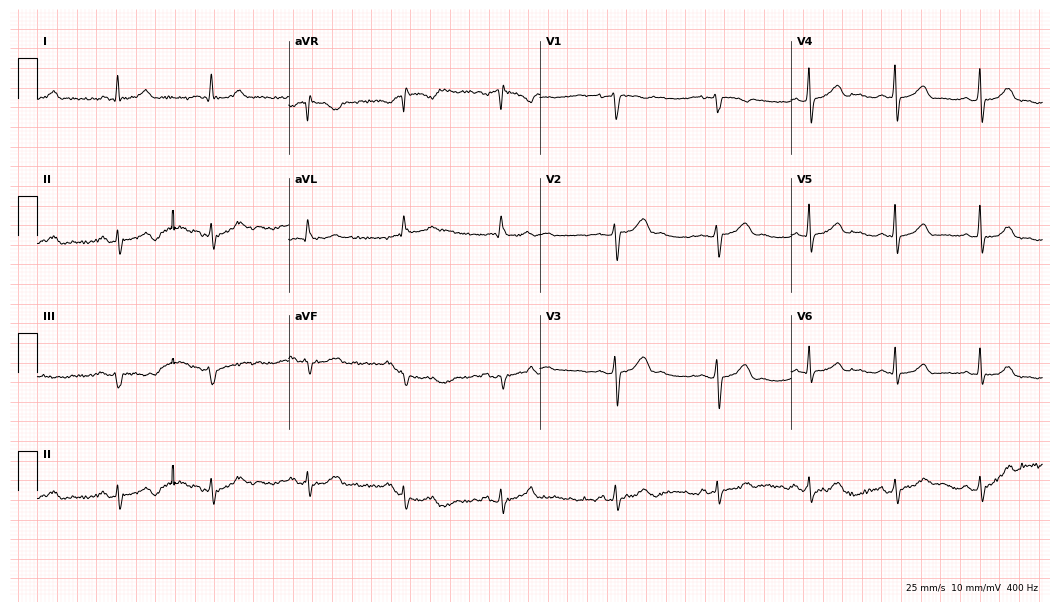
Electrocardiogram, a female, 23 years old. Of the six screened findings (first-degree AV block, right bundle branch block, left bundle branch block, sinus bradycardia, atrial fibrillation, sinus tachycardia), none is recorded. Other findings, if any, are not listed.